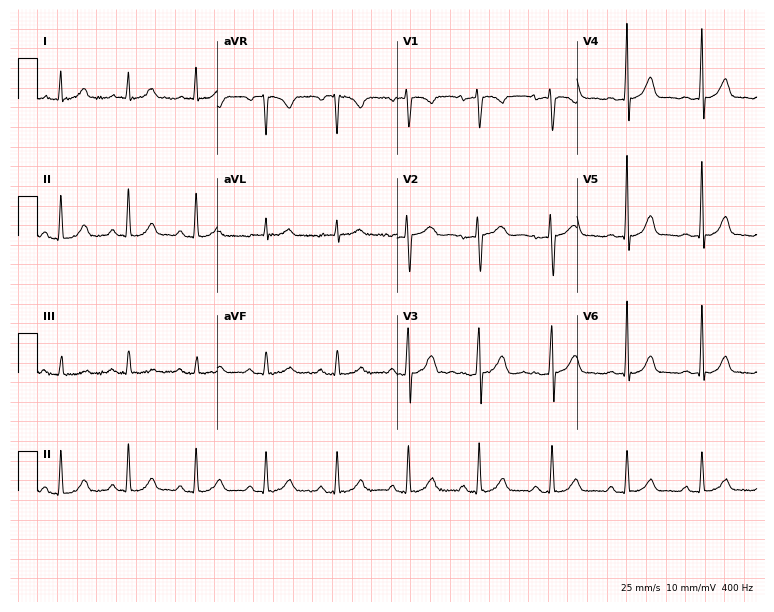
12-lead ECG from a female, 40 years old. Screened for six findings — first-degree AV block, right bundle branch block, left bundle branch block, sinus bradycardia, atrial fibrillation, sinus tachycardia — none is recorded. Other findings, if any, are not listed.